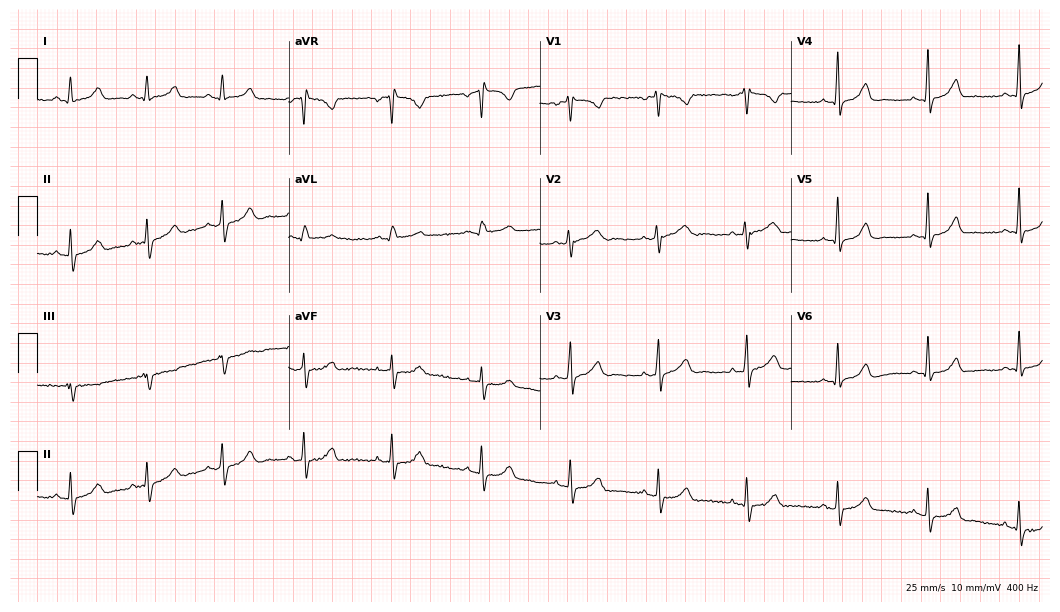
Resting 12-lead electrocardiogram. Patient: a 27-year-old female. Read as a normal ECG.